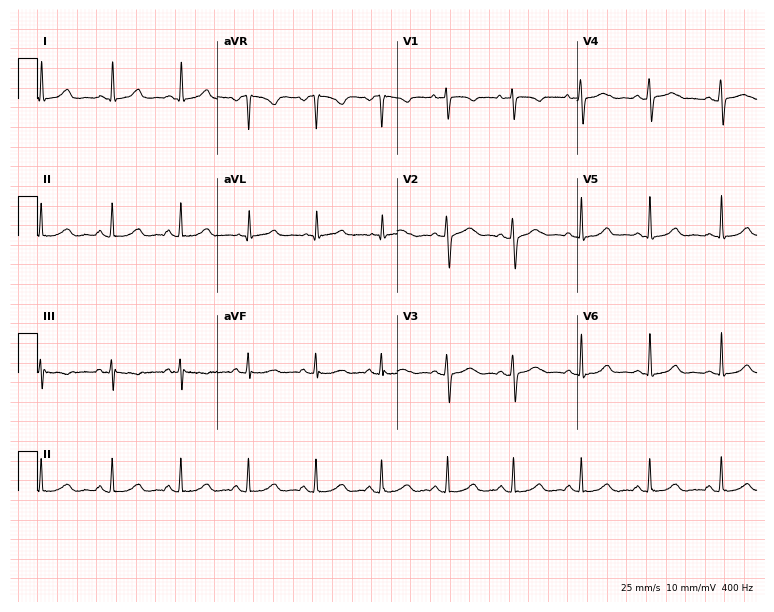
12-lead ECG from a female, 25 years old (7.3-second recording at 400 Hz). No first-degree AV block, right bundle branch block (RBBB), left bundle branch block (LBBB), sinus bradycardia, atrial fibrillation (AF) or sinus tachycardia recorded for this tracing.